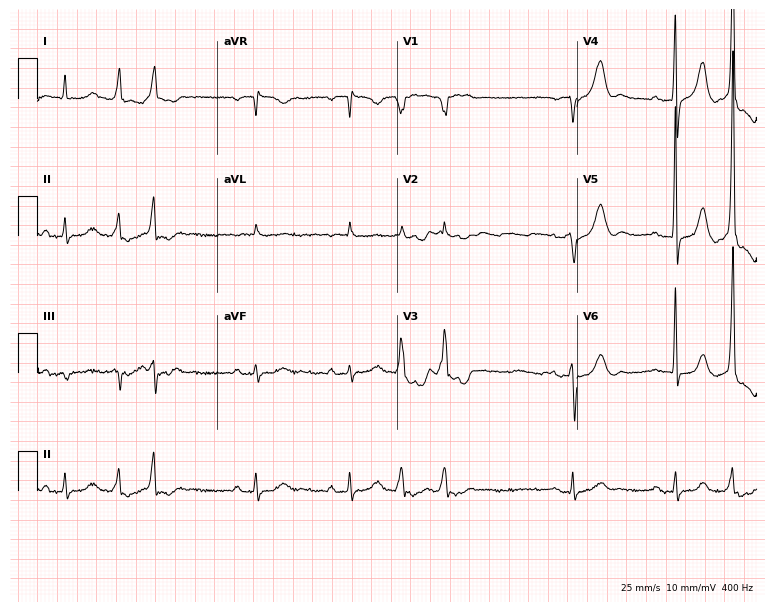
Electrocardiogram (7.3-second recording at 400 Hz), a 77-year-old male patient. Of the six screened findings (first-degree AV block, right bundle branch block (RBBB), left bundle branch block (LBBB), sinus bradycardia, atrial fibrillation (AF), sinus tachycardia), none is recorded.